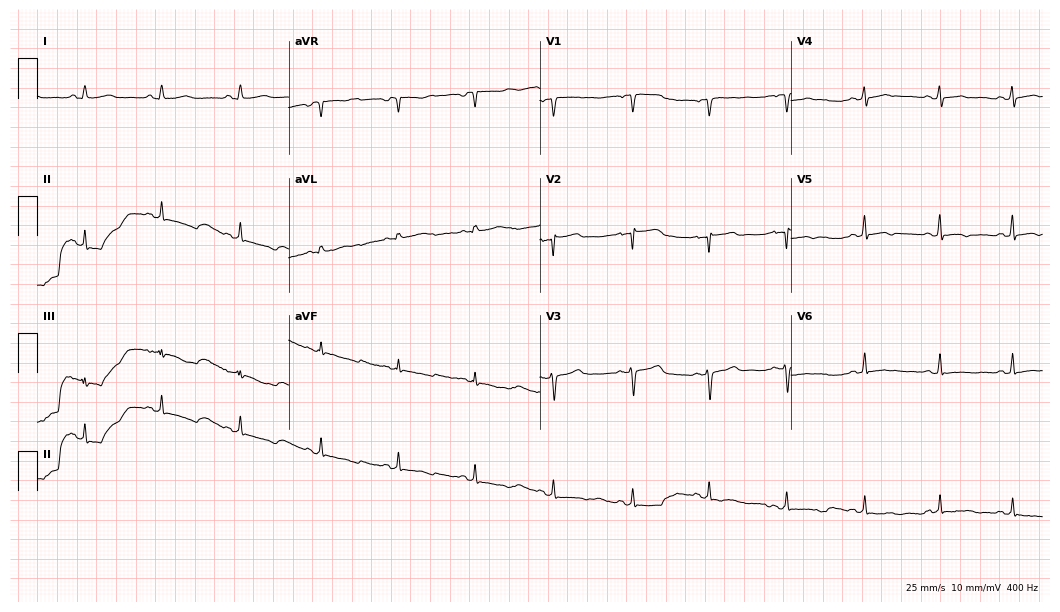
Resting 12-lead electrocardiogram. Patient: a woman, 42 years old. None of these six findings is recorded: first-degree AV block, right bundle branch block (RBBB), left bundle branch block (LBBB), sinus bradycardia, atrial fibrillation (AF), sinus tachycardia.